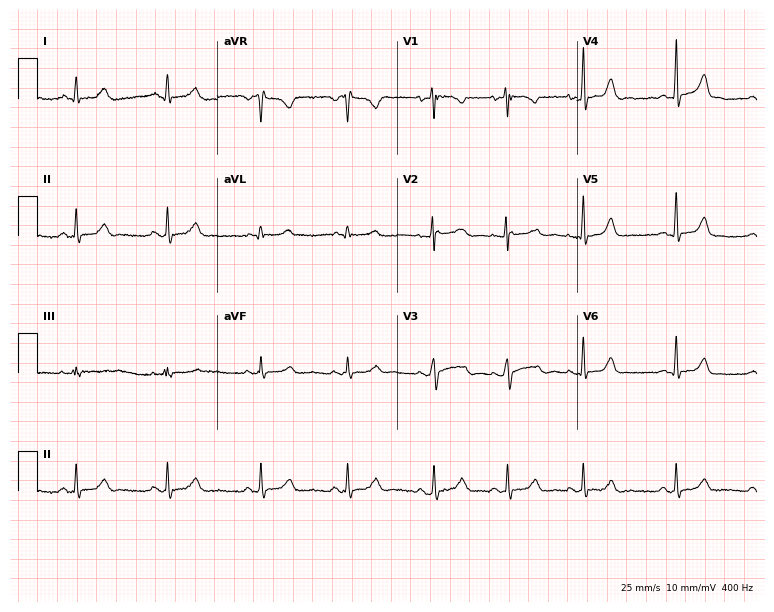
Electrocardiogram, a woman, 23 years old. Of the six screened findings (first-degree AV block, right bundle branch block (RBBB), left bundle branch block (LBBB), sinus bradycardia, atrial fibrillation (AF), sinus tachycardia), none is recorded. Findings outside these six are not listed.